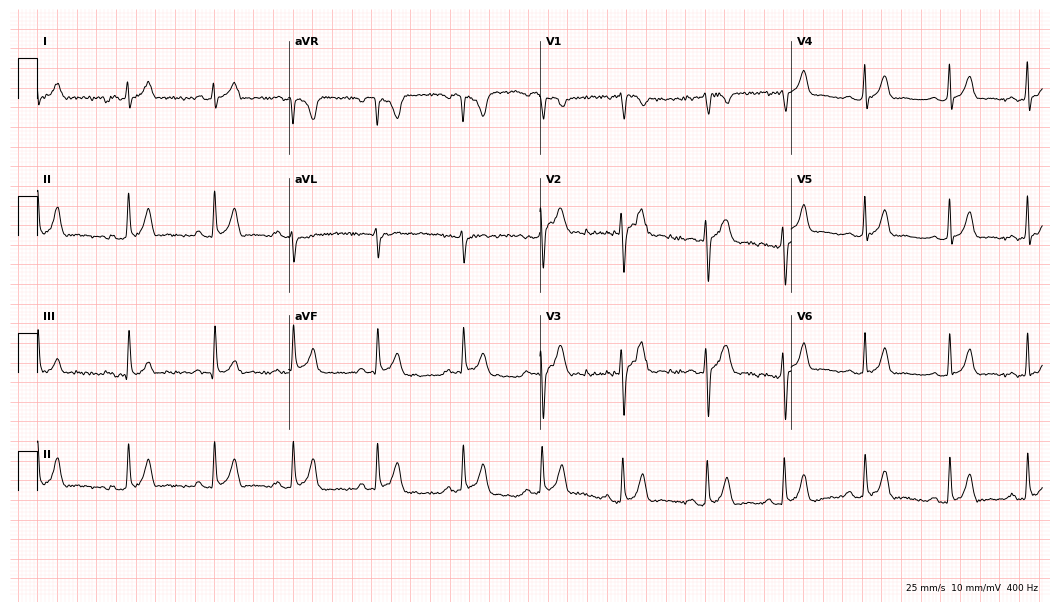
Standard 12-lead ECG recorded from an 18-year-old female patient (10.2-second recording at 400 Hz). Read as a normal ECG.